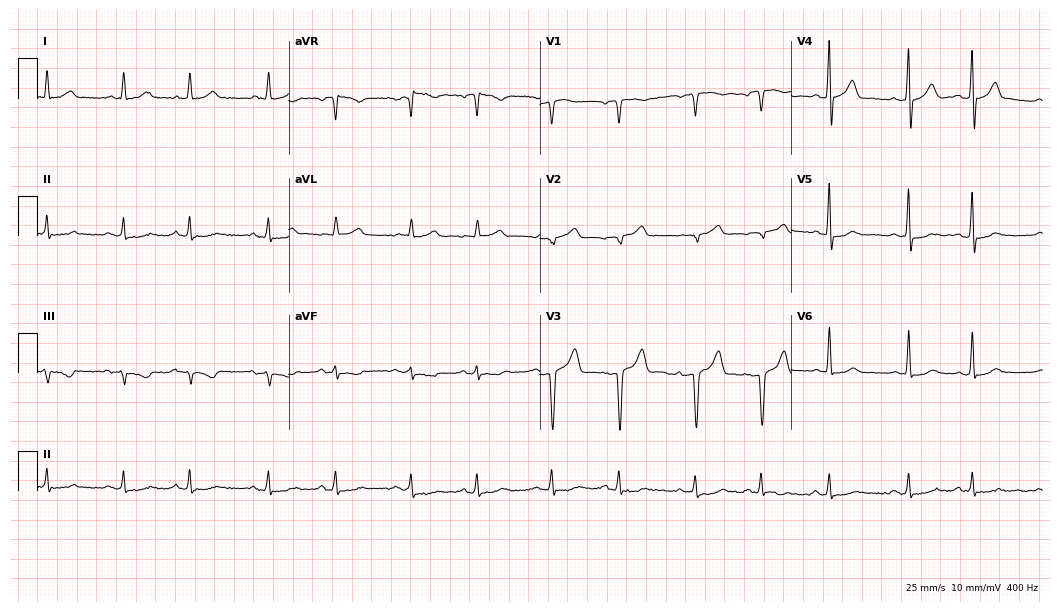
12-lead ECG from a woman, 83 years old. Screened for six findings — first-degree AV block, right bundle branch block (RBBB), left bundle branch block (LBBB), sinus bradycardia, atrial fibrillation (AF), sinus tachycardia — none is recorded. Findings outside these six are not listed.